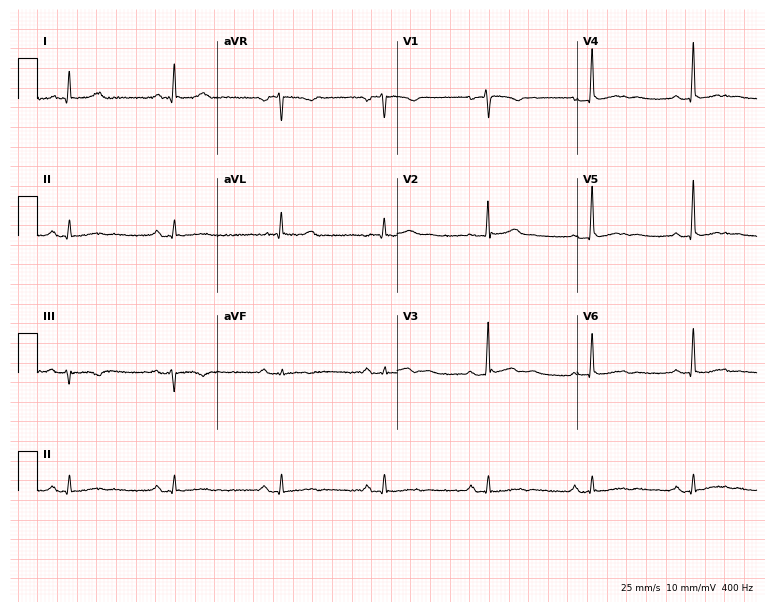
ECG — a man, 42 years old. Screened for six findings — first-degree AV block, right bundle branch block, left bundle branch block, sinus bradycardia, atrial fibrillation, sinus tachycardia — none is recorded. Findings outside these six are not listed.